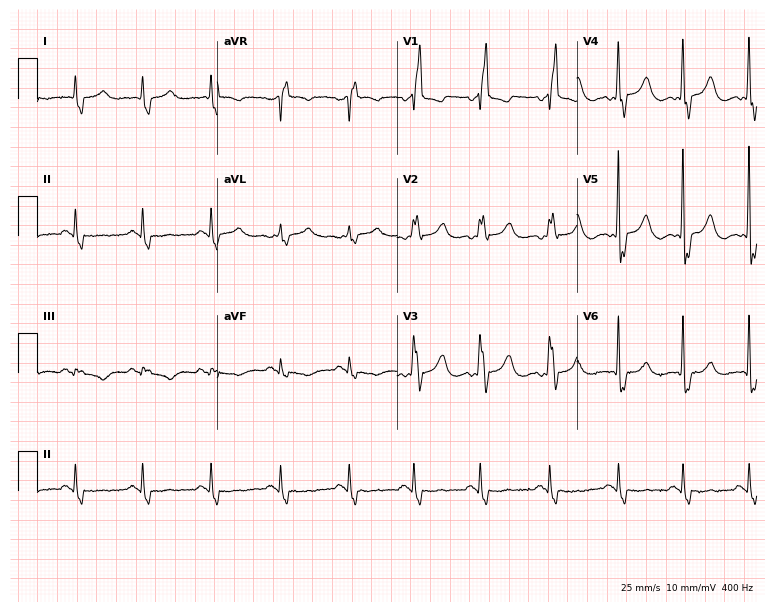
ECG — a male patient, 82 years old. Findings include right bundle branch block (RBBB).